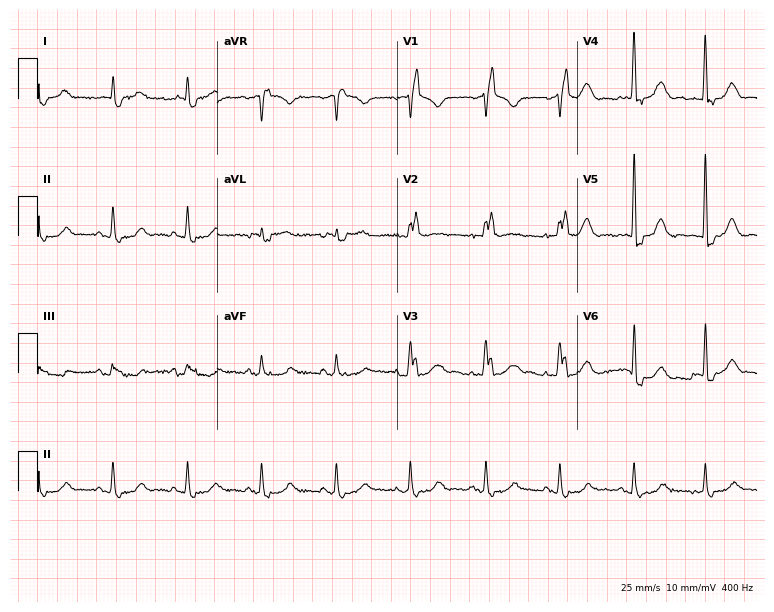
Standard 12-lead ECG recorded from an 80-year-old man (7.3-second recording at 400 Hz). The tracing shows right bundle branch block.